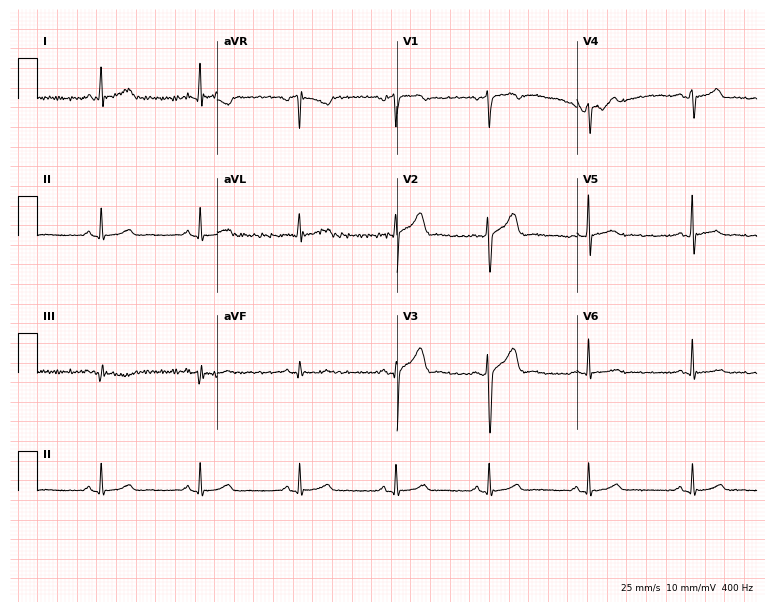
Standard 12-lead ECG recorded from a female patient, 47 years old (7.3-second recording at 400 Hz). Read as a normal ECG.